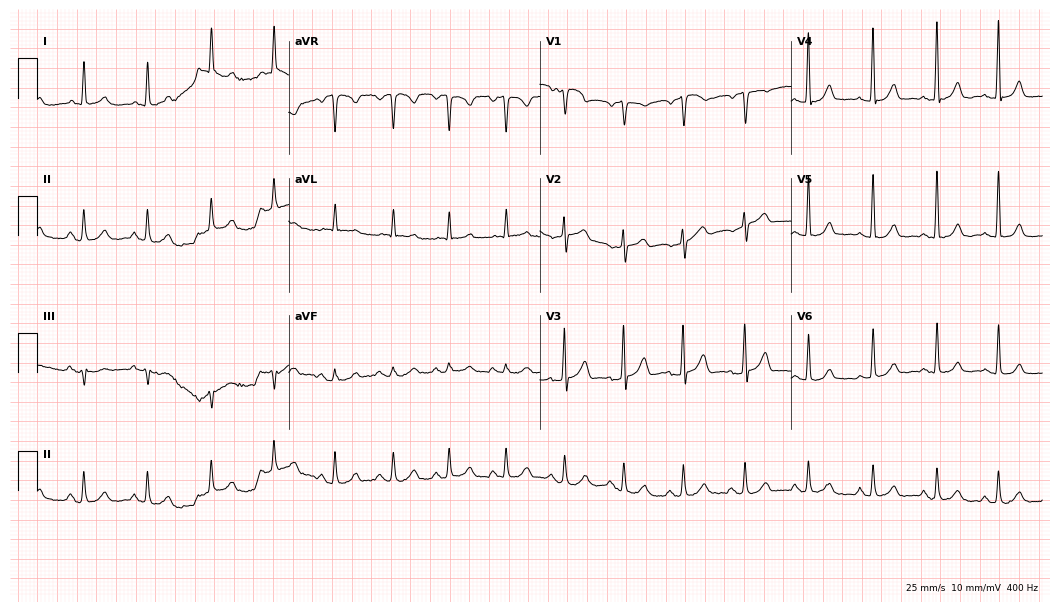
12-lead ECG (10.2-second recording at 400 Hz) from a 68-year-old female patient. Labelled as a normal ECG.